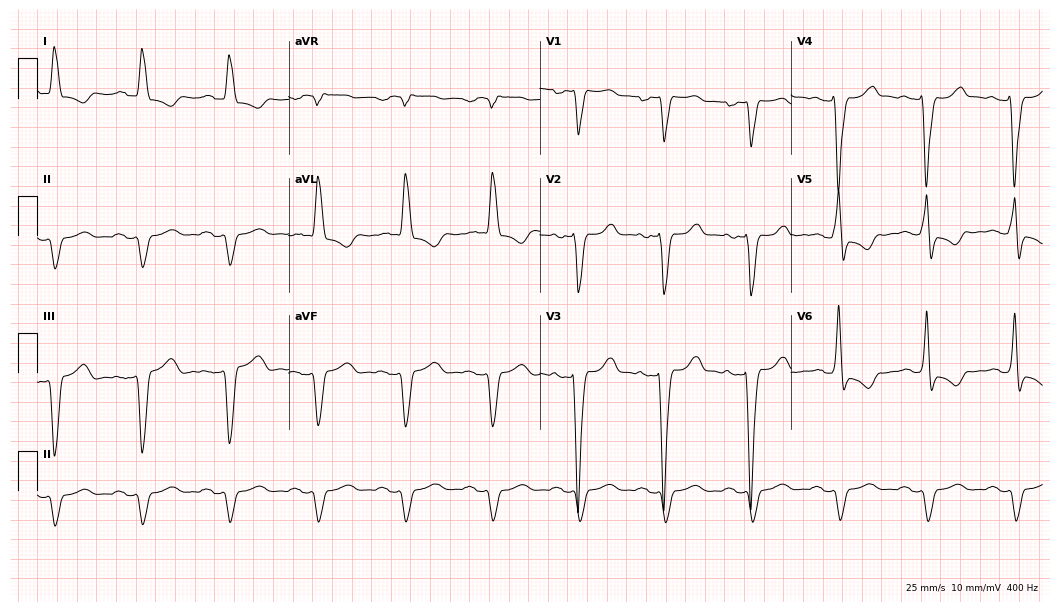
12-lead ECG from a man, 61 years old (10.2-second recording at 400 Hz). Shows left bundle branch block (LBBB).